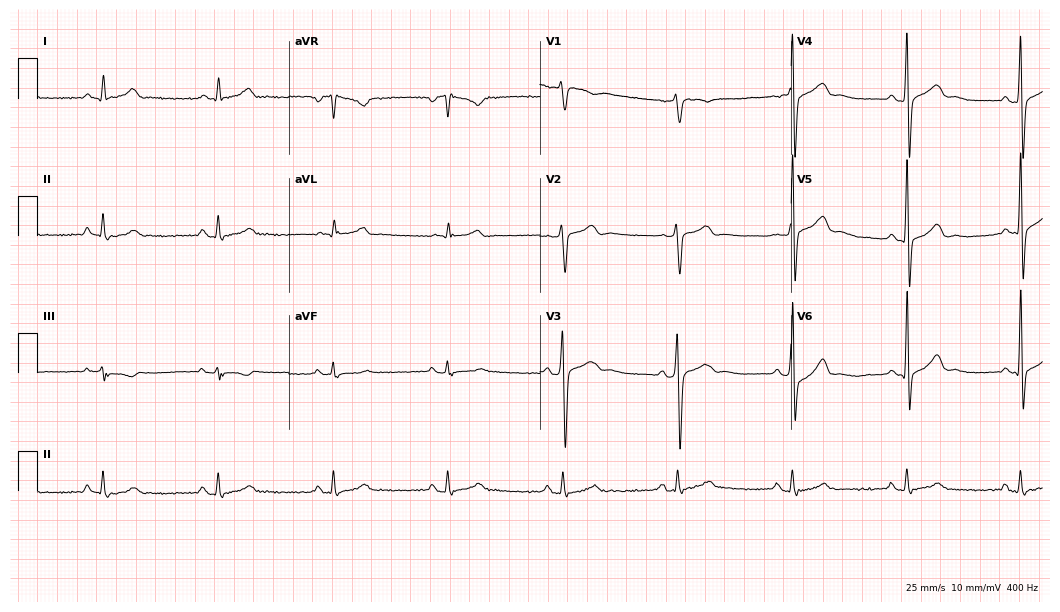
ECG (10.2-second recording at 400 Hz) — a 63-year-old male. Screened for six findings — first-degree AV block, right bundle branch block, left bundle branch block, sinus bradycardia, atrial fibrillation, sinus tachycardia — none is recorded.